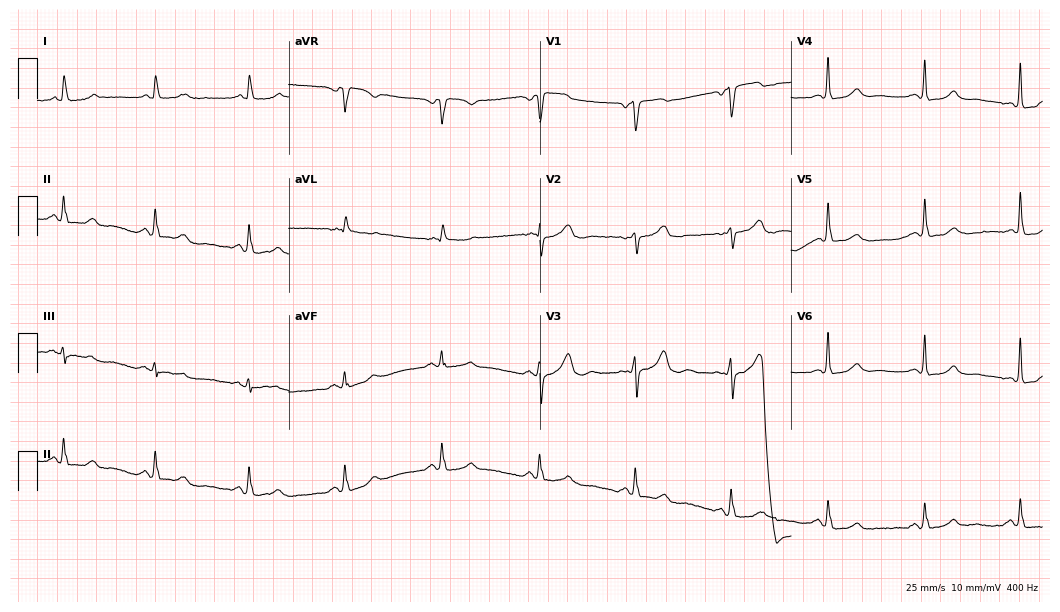
Resting 12-lead electrocardiogram (10.2-second recording at 400 Hz). Patient: a 77-year-old female. Read as a normal ECG.